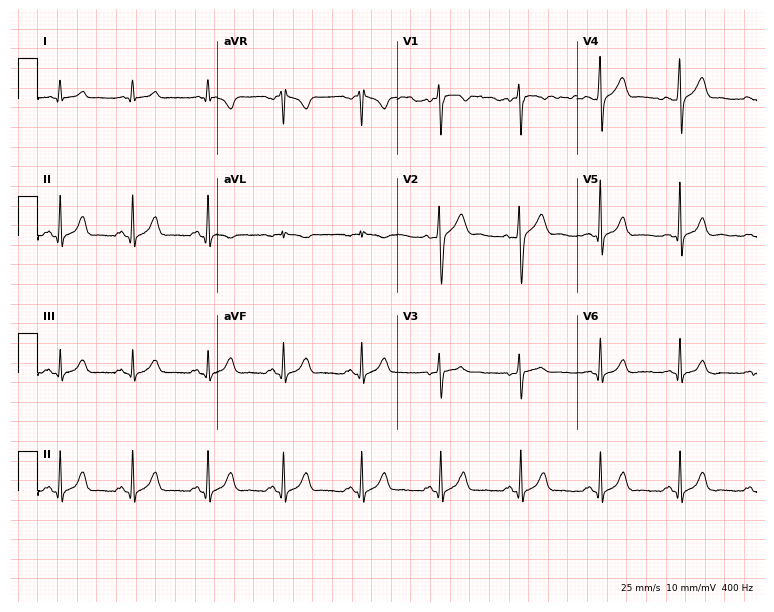
Standard 12-lead ECG recorded from a male patient, 34 years old (7.3-second recording at 400 Hz). Read as a normal ECG.